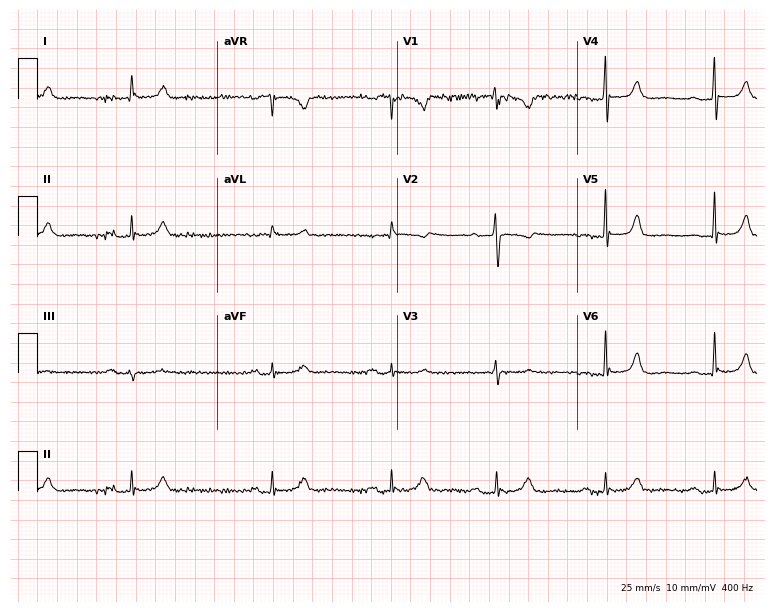
12-lead ECG from a female patient, 83 years old. Findings include first-degree AV block, atrial fibrillation.